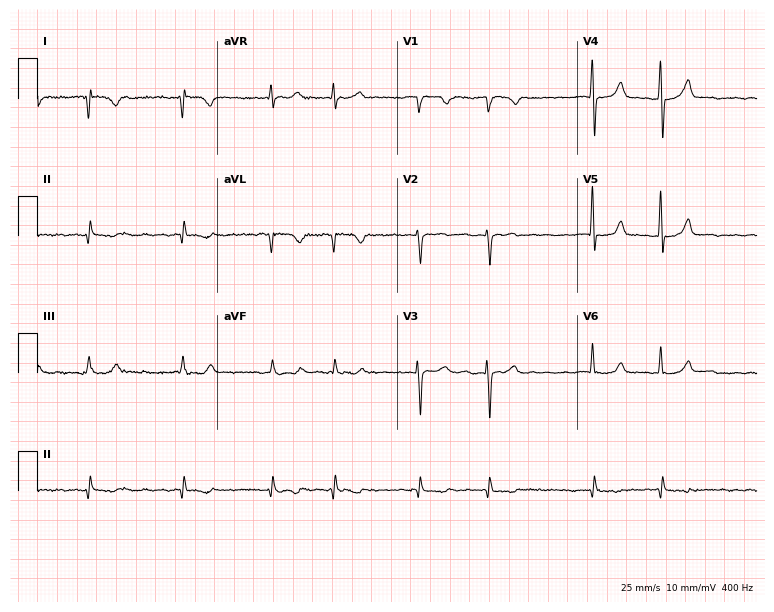
12-lead ECG from an 83-year-old male. No first-degree AV block, right bundle branch block (RBBB), left bundle branch block (LBBB), sinus bradycardia, atrial fibrillation (AF) or sinus tachycardia recorded for this tracing. Findings outside these six are not listed.